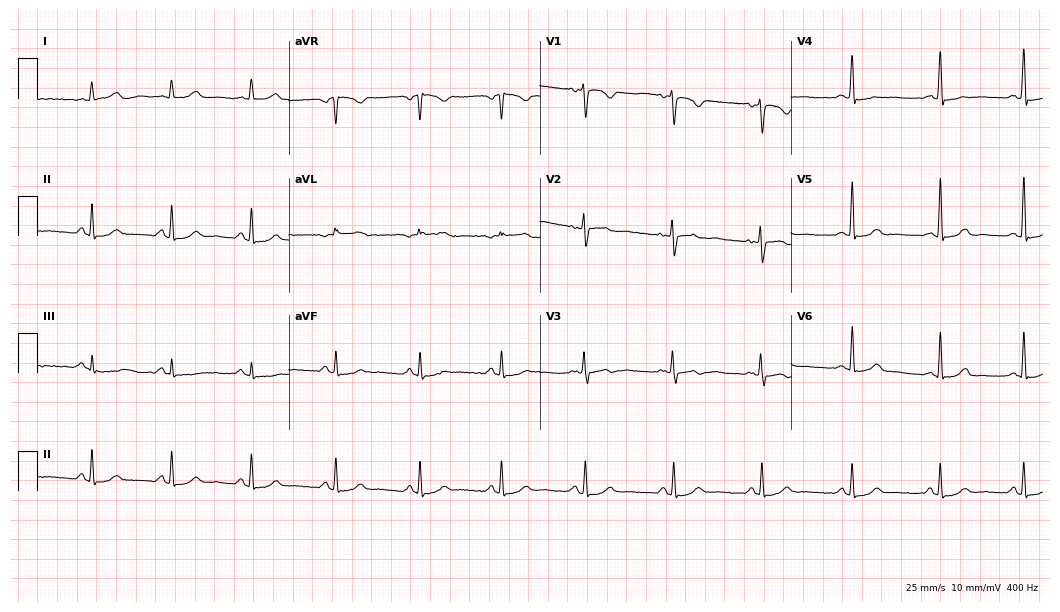
Standard 12-lead ECG recorded from a female patient, 39 years old (10.2-second recording at 400 Hz). None of these six findings is recorded: first-degree AV block, right bundle branch block, left bundle branch block, sinus bradycardia, atrial fibrillation, sinus tachycardia.